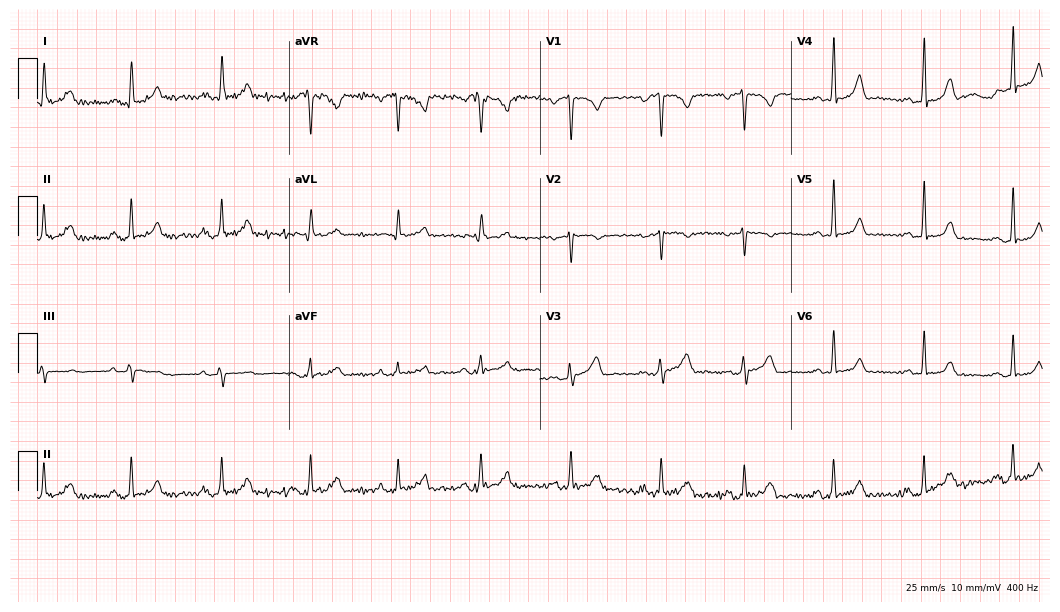
12-lead ECG from a female, 33 years old. Labelled as a normal ECG.